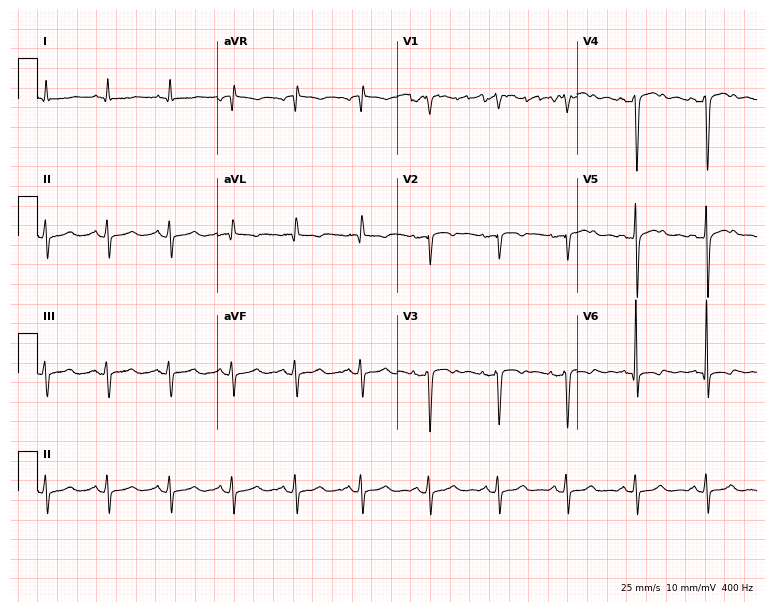
12-lead ECG from a 51-year-old male. Screened for six findings — first-degree AV block, right bundle branch block, left bundle branch block, sinus bradycardia, atrial fibrillation, sinus tachycardia — none is recorded. Other findings, if any, are not listed.